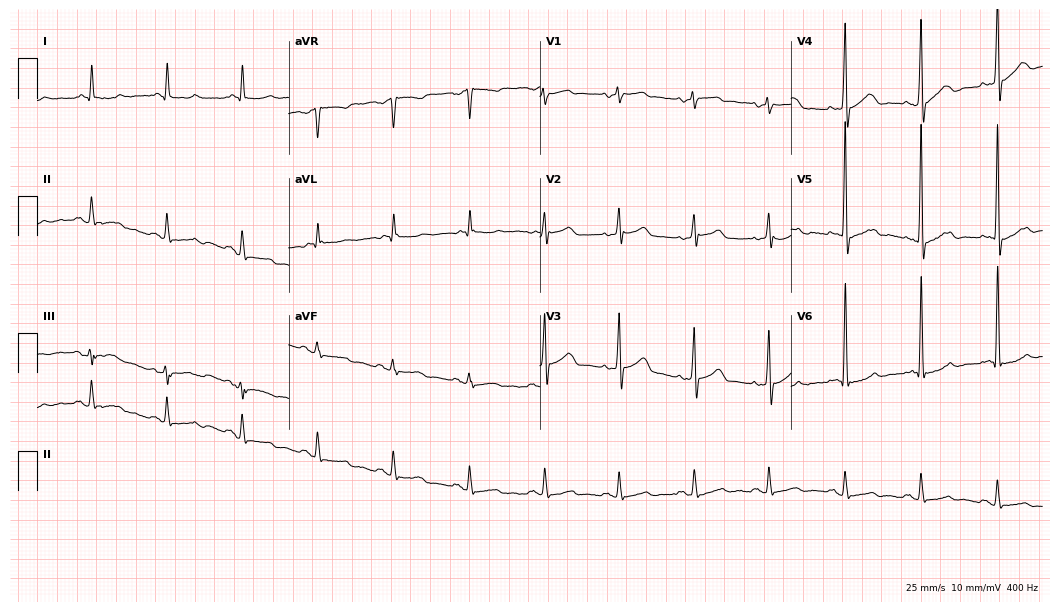
ECG — a 68-year-old man. Screened for six findings — first-degree AV block, right bundle branch block, left bundle branch block, sinus bradycardia, atrial fibrillation, sinus tachycardia — none is recorded. Findings outside these six are not listed.